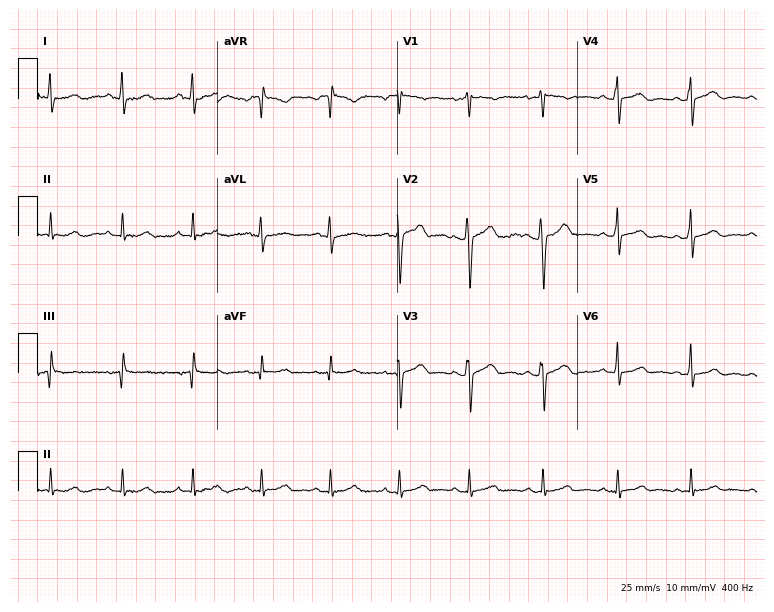
Electrocardiogram (7.3-second recording at 400 Hz), a male, 21 years old. Overall reading on record: normal ECG.